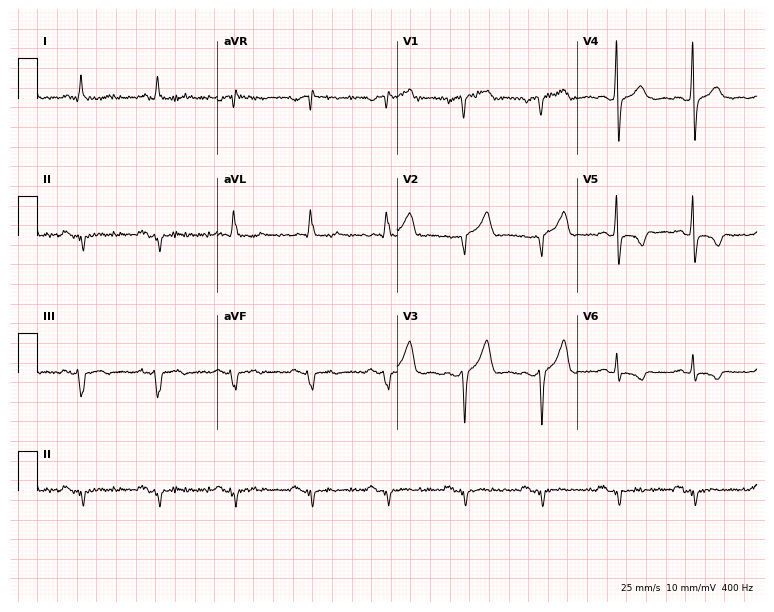
12-lead ECG (7.3-second recording at 400 Hz) from a 76-year-old male. Screened for six findings — first-degree AV block, right bundle branch block, left bundle branch block, sinus bradycardia, atrial fibrillation, sinus tachycardia — none is recorded. Only these six findings were labelled.